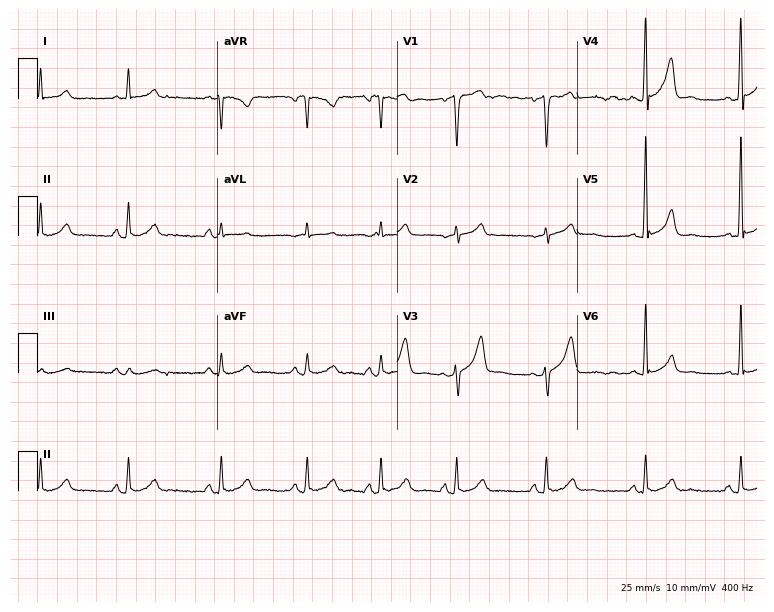
Standard 12-lead ECG recorded from a 53-year-old male patient. Read as a normal ECG.